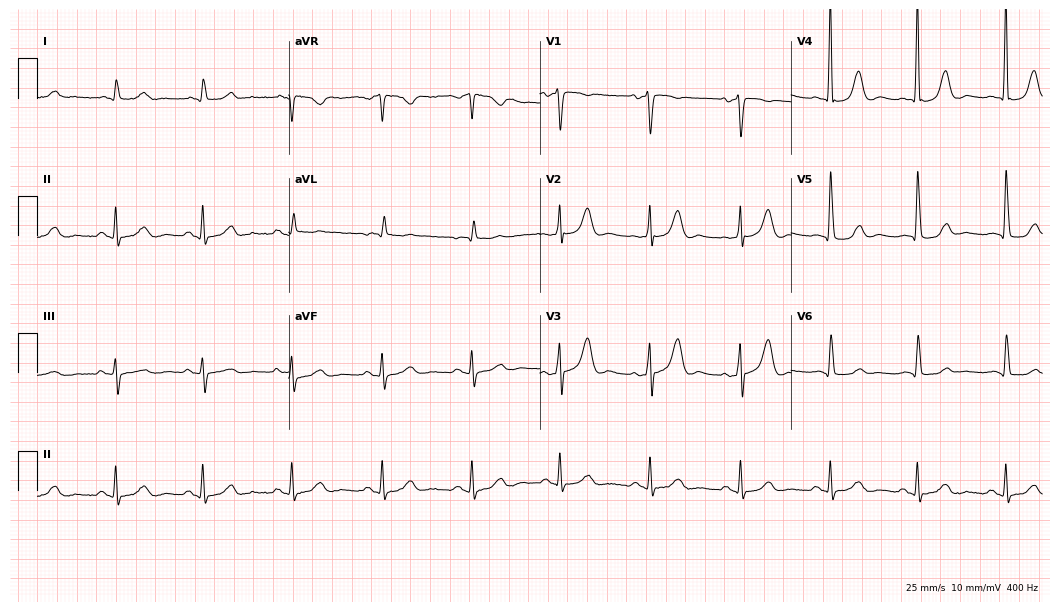
ECG (10.2-second recording at 400 Hz) — a female, 70 years old. Screened for six findings — first-degree AV block, right bundle branch block (RBBB), left bundle branch block (LBBB), sinus bradycardia, atrial fibrillation (AF), sinus tachycardia — none is recorded.